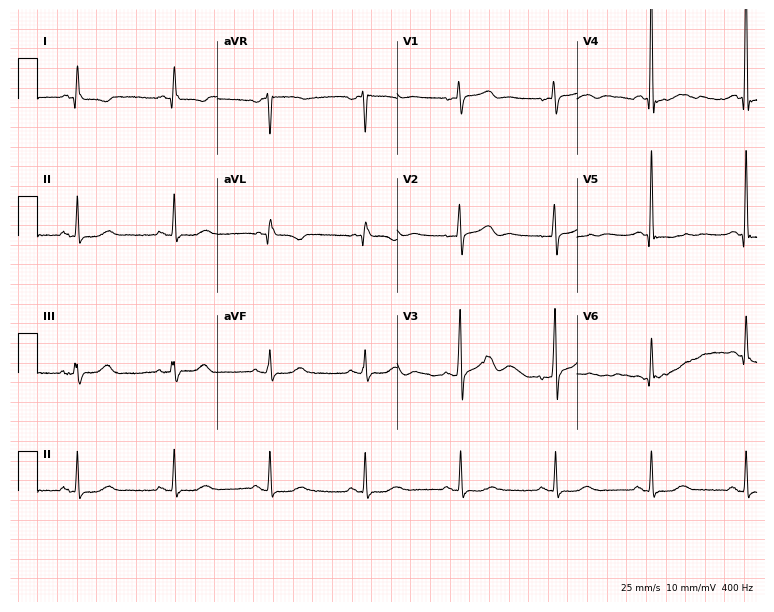
Electrocardiogram, a 79-year-old female. Of the six screened findings (first-degree AV block, right bundle branch block, left bundle branch block, sinus bradycardia, atrial fibrillation, sinus tachycardia), none is recorded.